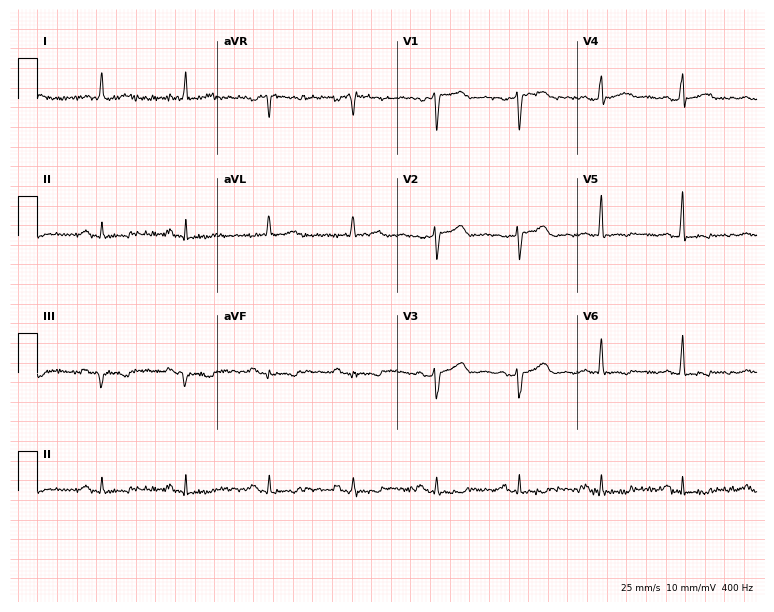
12-lead ECG from a 57-year-old woman (7.3-second recording at 400 Hz). No first-degree AV block, right bundle branch block, left bundle branch block, sinus bradycardia, atrial fibrillation or sinus tachycardia recorded for this tracing.